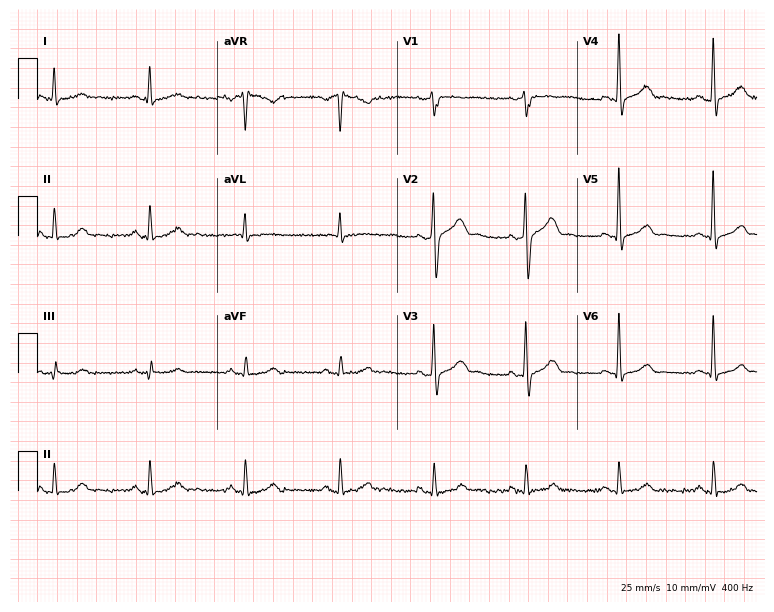
12-lead ECG (7.3-second recording at 400 Hz) from a 52-year-old man. Labelled as a normal ECG.